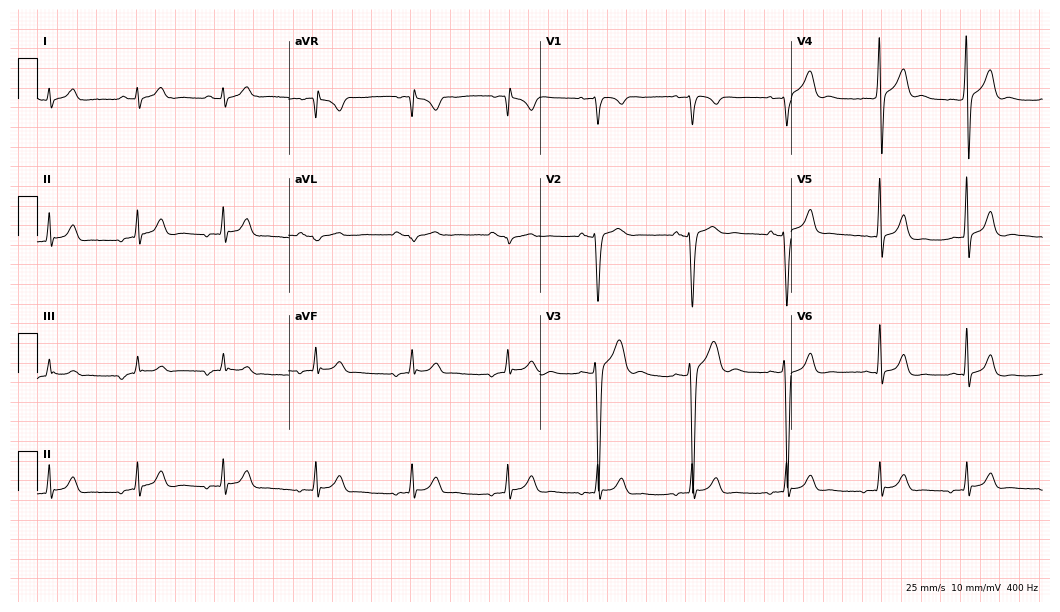
Electrocardiogram, a male patient, 22 years old. Of the six screened findings (first-degree AV block, right bundle branch block, left bundle branch block, sinus bradycardia, atrial fibrillation, sinus tachycardia), none is recorded.